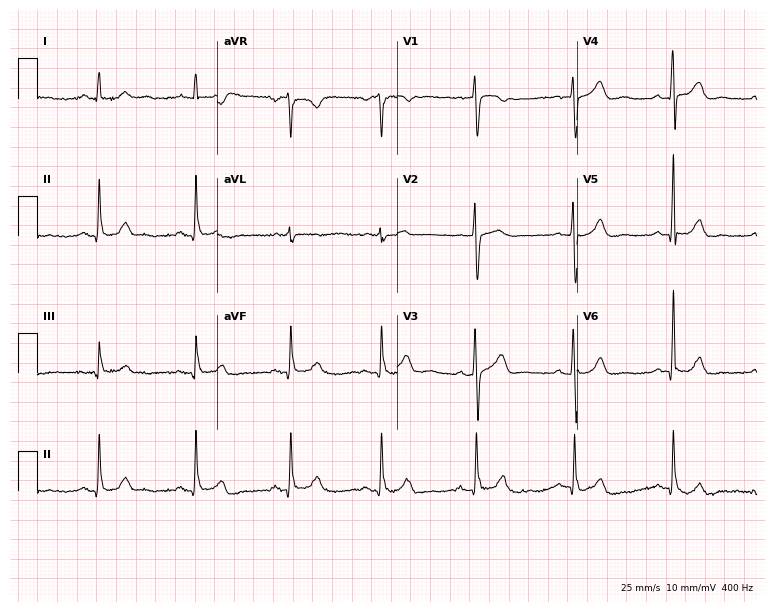
ECG (7.3-second recording at 400 Hz) — a 68-year-old male patient. Screened for six findings — first-degree AV block, right bundle branch block (RBBB), left bundle branch block (LBBB), sinus bradycardia, atrial fibrillation (AF), sinus tachycardia — none is recorded.